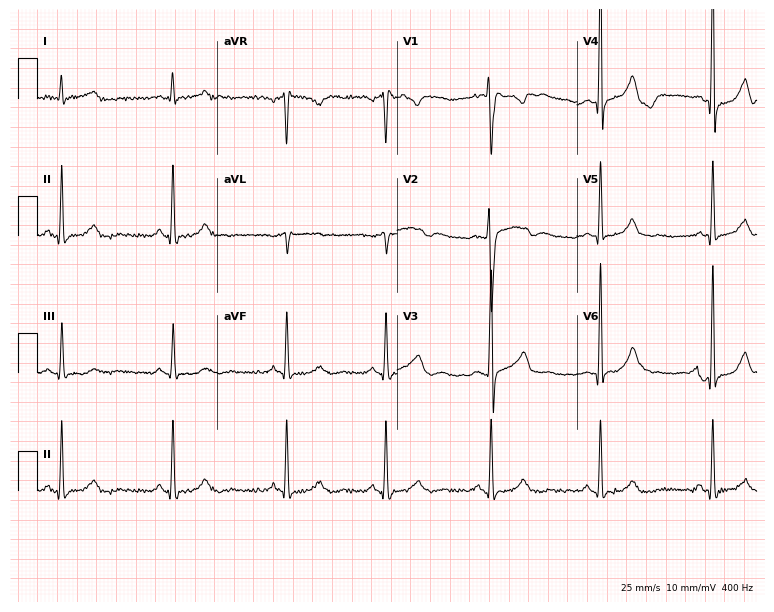
Electrocardiogram (7.3-second recording at 400 Hz), a male patient, 43 years old. Overall reading on record: normal ECG.